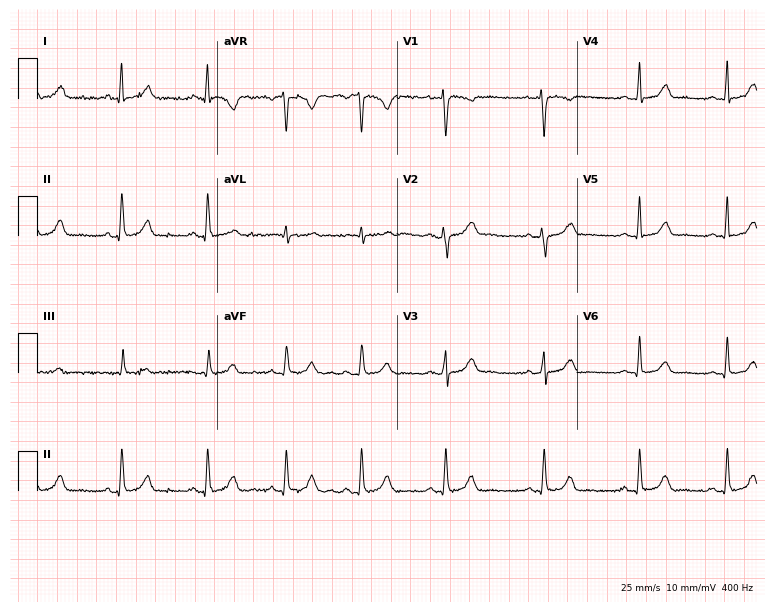
Electrocardiogram, a female patient, 24 years old. Overall reading on record: normal ECG.